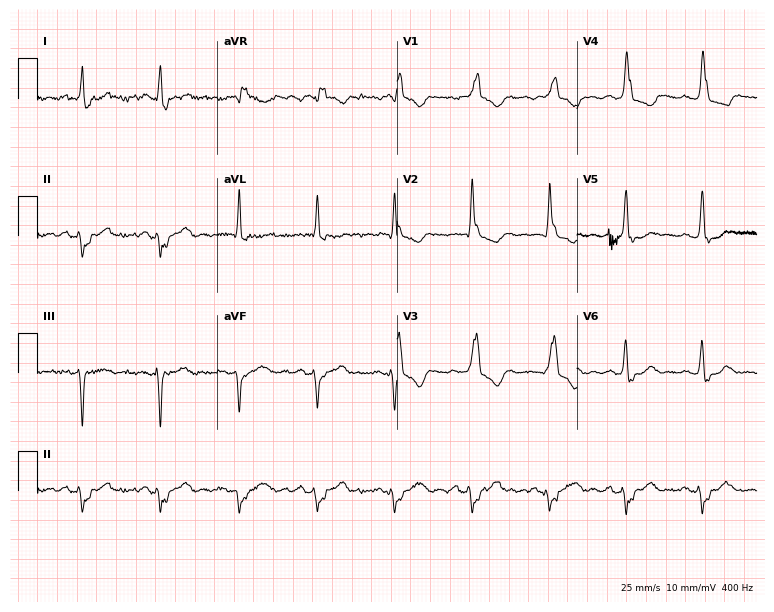
Standard 12-lead ECG recorded from a woman, 75 years old (7.3-second recording at 400 Hz). The tracing shows right bundle branch block.